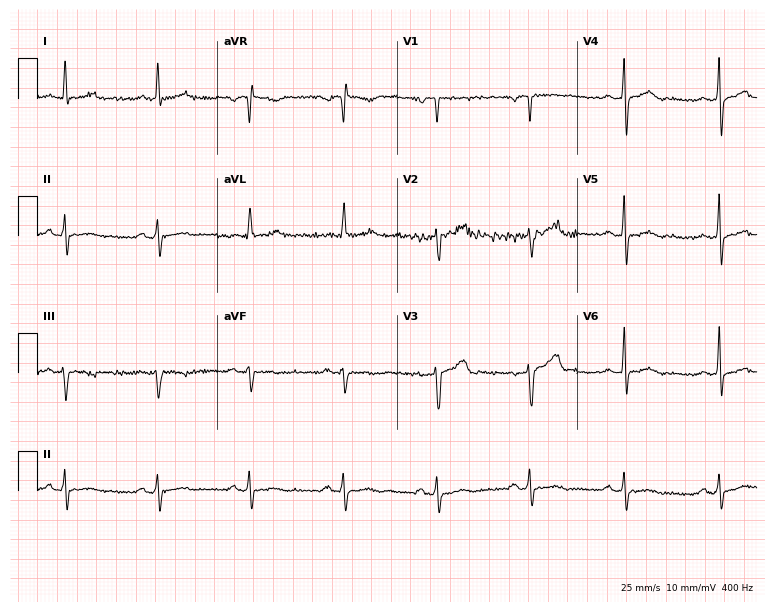
Standard 12-lead ECG recorded from a 59-year-old male (7.3-second recording at 400 Hz). None of these six findings is recorded: first-degree AV block, right bundle branch block (RBBB), left bundle branch block (LBBB), sinus bradycardia, atrial fibrillation (AF), sinus tachycardia. Findings outside these six are not listed.